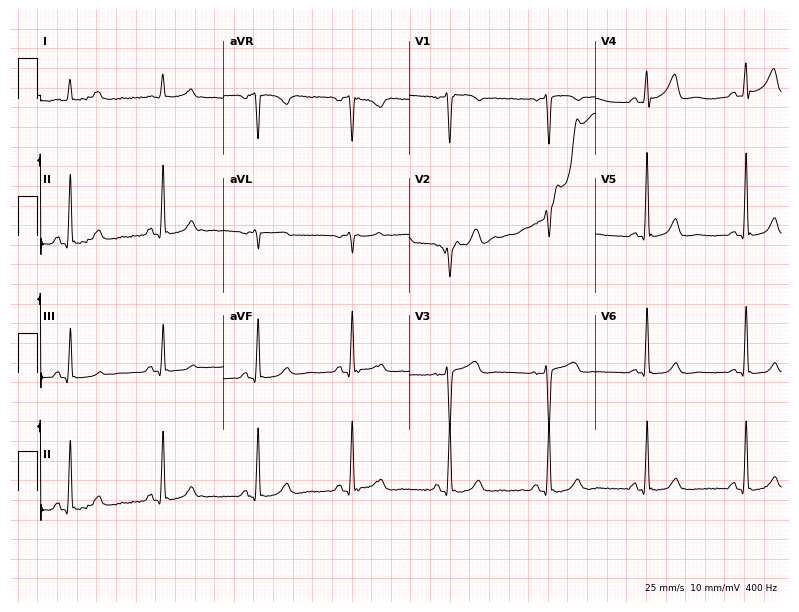
12-lead ECG (7.6-second recording at 400 Hz) from a 55-year-old female. Labelled as a normal ECG.